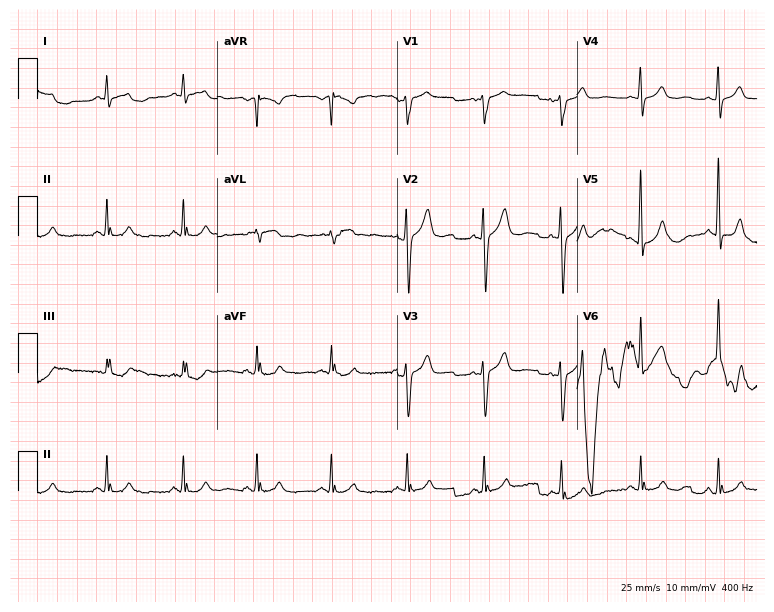
Standard 12-lead ECG recorded from a 59-year-old male. None of these six findings is recorded: first-degree AV block, right bundle branch block, left bundle branch block, sinus bradycardia, atrial fibrillation, sinus tachycardia.